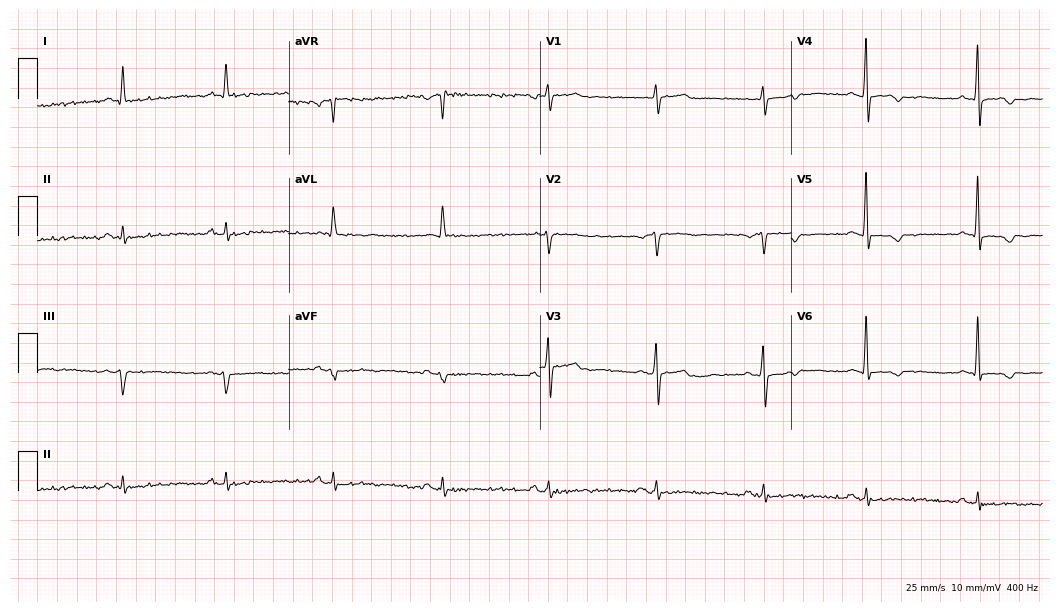
Resting 12-lead electrocardiogram. Patient: a 59-year-old male. None of these six findings is recorded: first-degree AV block, right bundle branch block, left bundle branch block, sinus bradycardia, atrial fibrillation, sinus tachycardia.